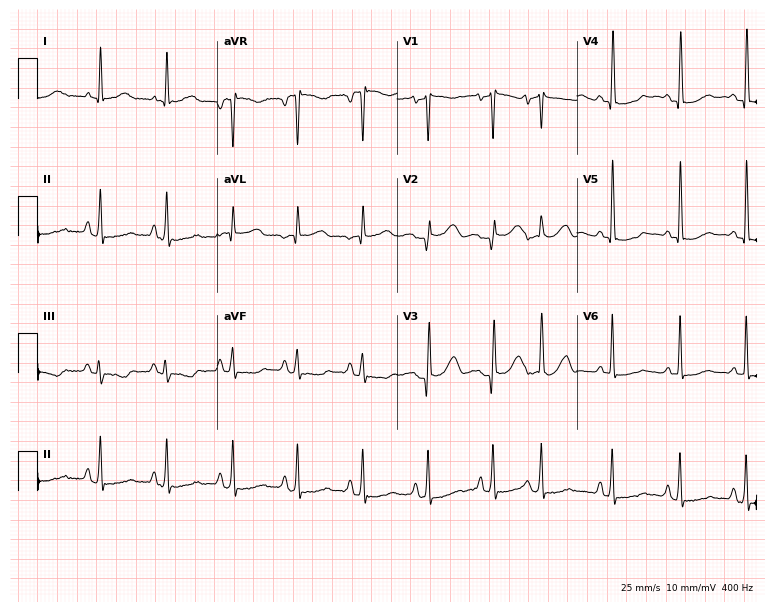
ECG — a 70-year-old female. Screened for six findings — first-degree AV block, right bundle branch block, left bundle branch block, sinus bradycardia, atrial fibrillation, sinus tachycardia — none is recorded. Only these six findings were labelled.